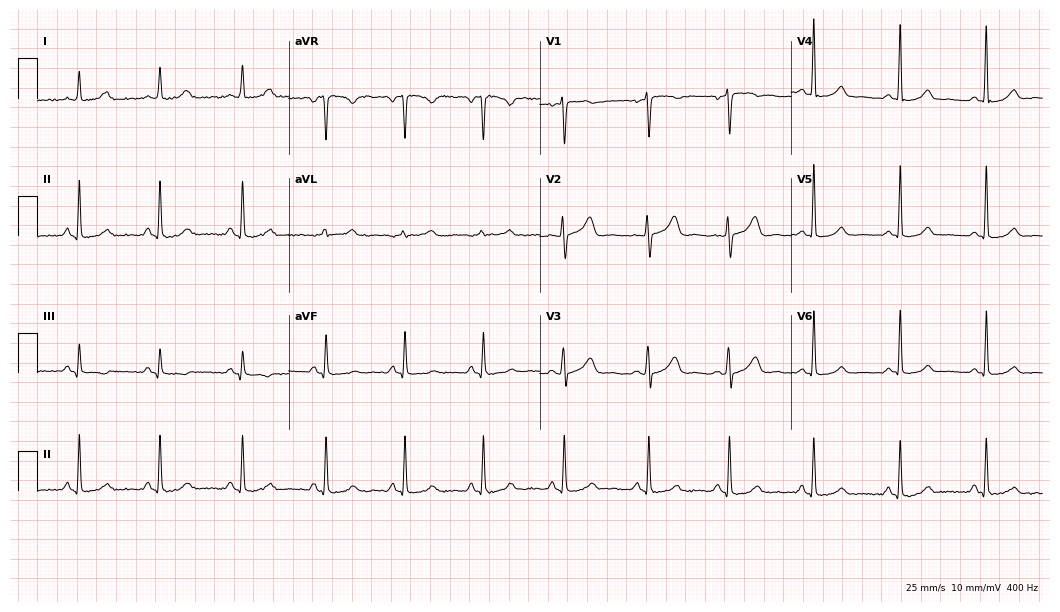
Resting 12-lead electrocardiogram (10.2-second recording at 400 Hz). Patient: a 48-year-old female. Read as a normal ECG.